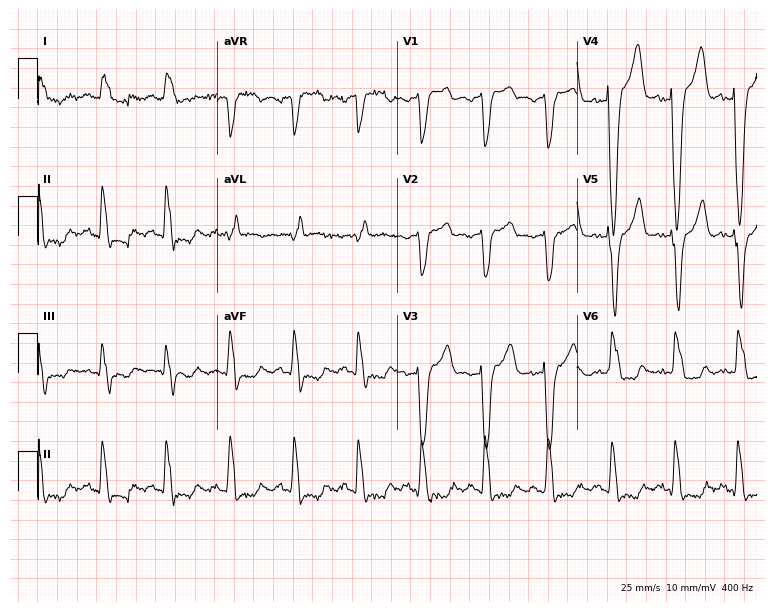
Resting 12-lead electrocardiogram. Patient: an 85-year-old male. The tracing shows left bundle branch block.